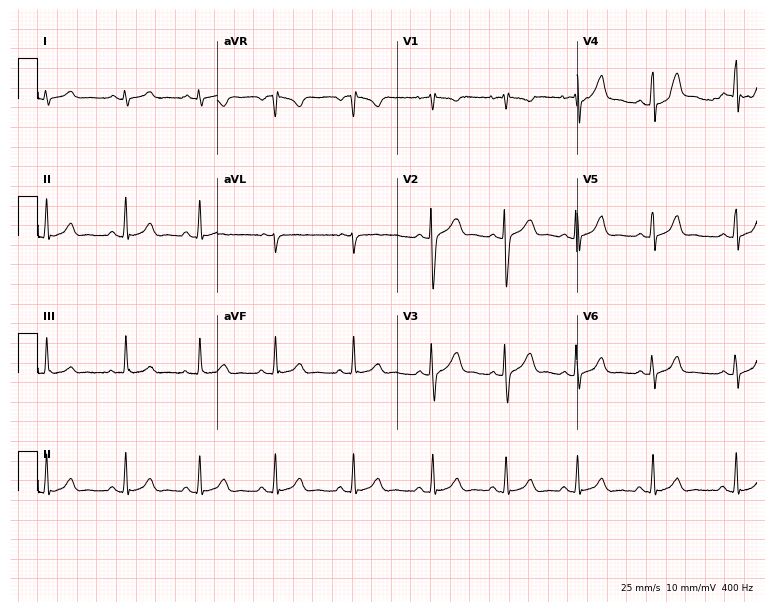
Resting 12-lead electrocardiogram (7.3-second recording at 400 Hz). Patient: a female, 17 years old. None of these six findings is recorded: first-degree AV block, right bundle branch block (RBBB), left bundle branch block (LBBB), sinus bradycardia, atrial fibrillation (AF), sinus tachycardia.